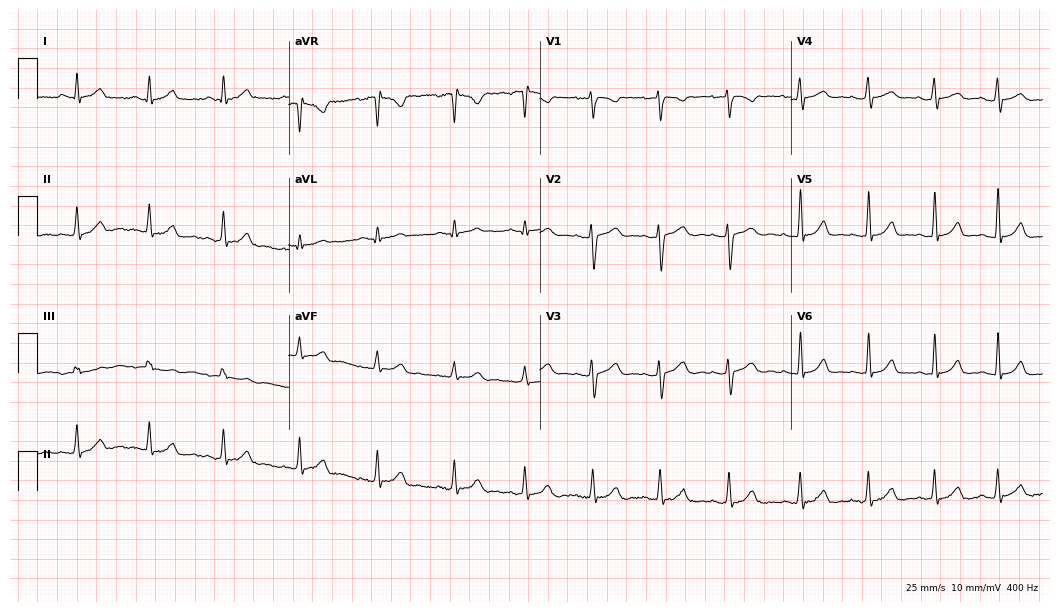
12-lead ECG from a female patient, 19 years old (10.2-second recording at 400 Hz). Recorded interpretation: within normal limits.